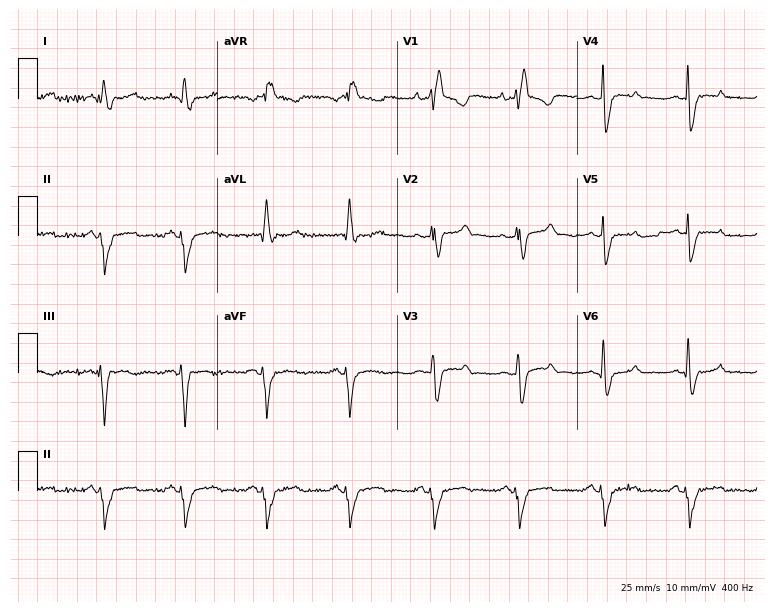
12-lead ECG from a 44-year-old man. Findings include right bundle branch block.